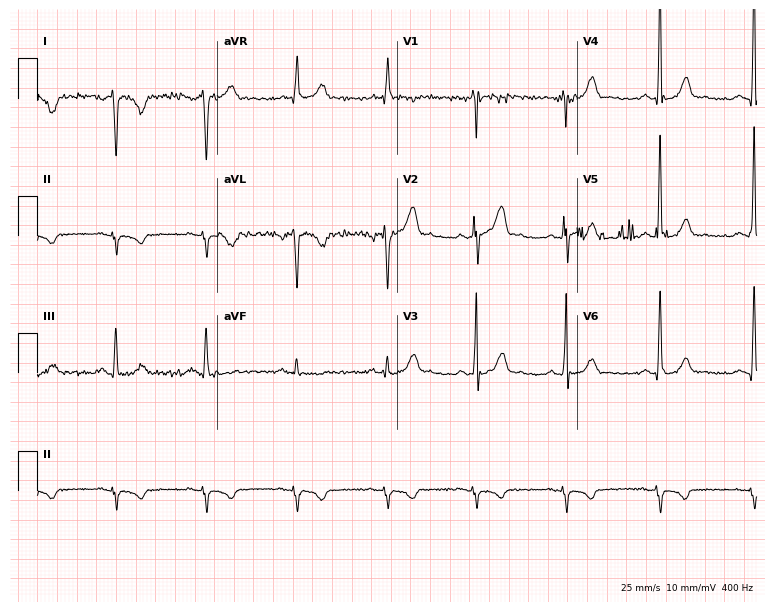
Standard 12-lead ECG recorded from a male patient, 54 years old (7.3-second recording at 400 Hz). Read as a normal ECG.